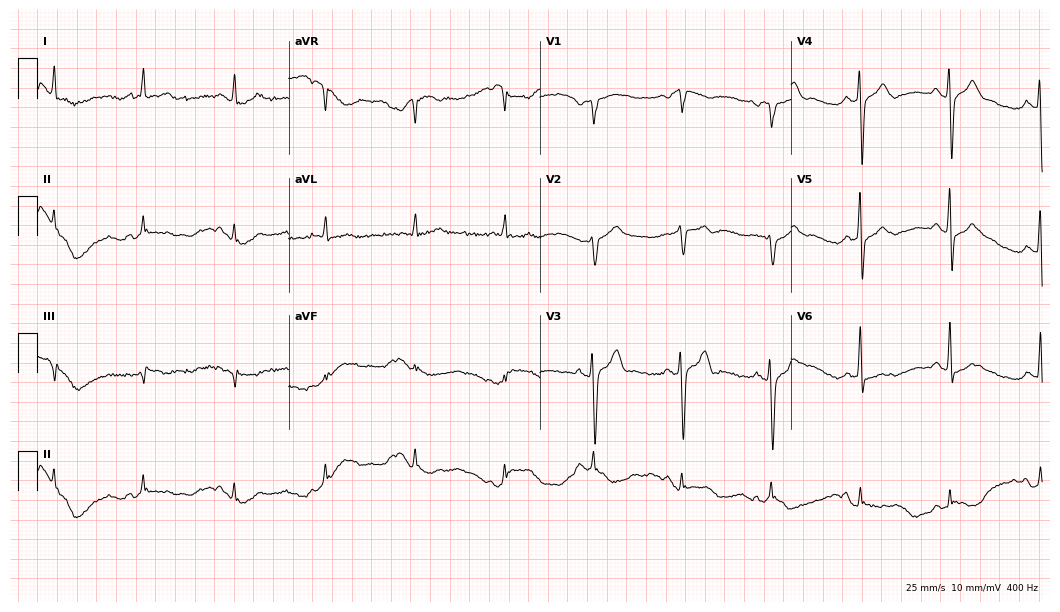
Resting 12-lead electrocardiogram. Patient: a 59-year-old male. Read as a normal ECG.